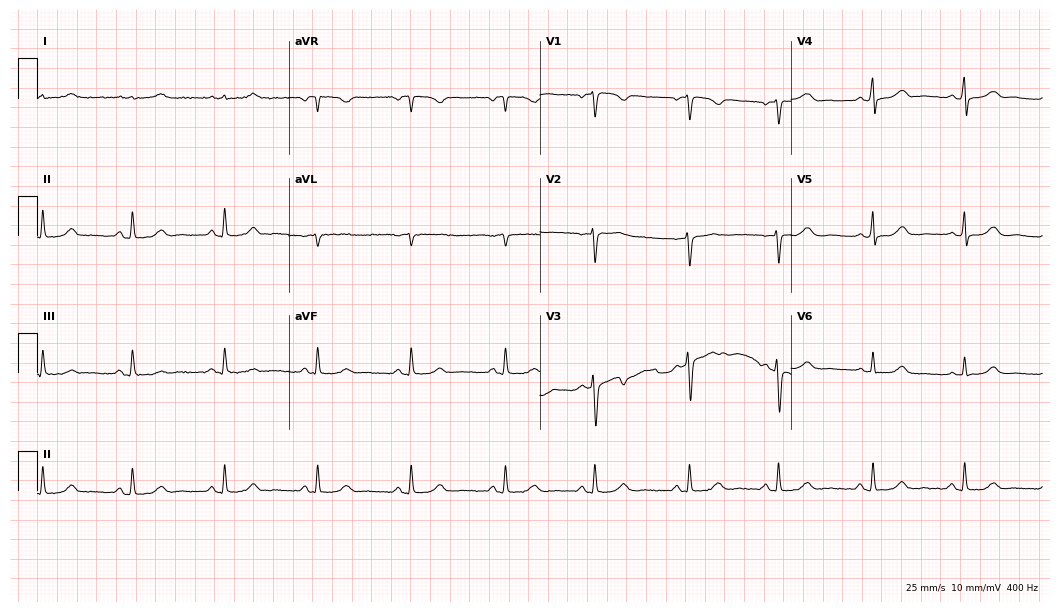
12-lead ECG from a female patient, 39 years old. Labelled as a normal ECG.